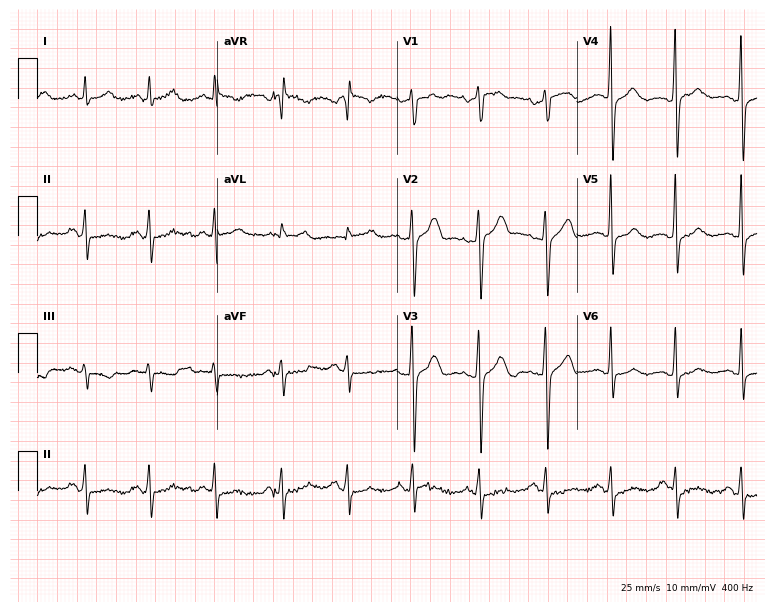
Resting 12-lead electrocardiogram (7.3-second recording at 400 Hz). Patient: a man, 42 years old. None of these six findings is recorded: first-degree AV block, right bundle branch block, left bundle branch block, sinus bradycardia, atrial fibrillation, sinus tachycardia.